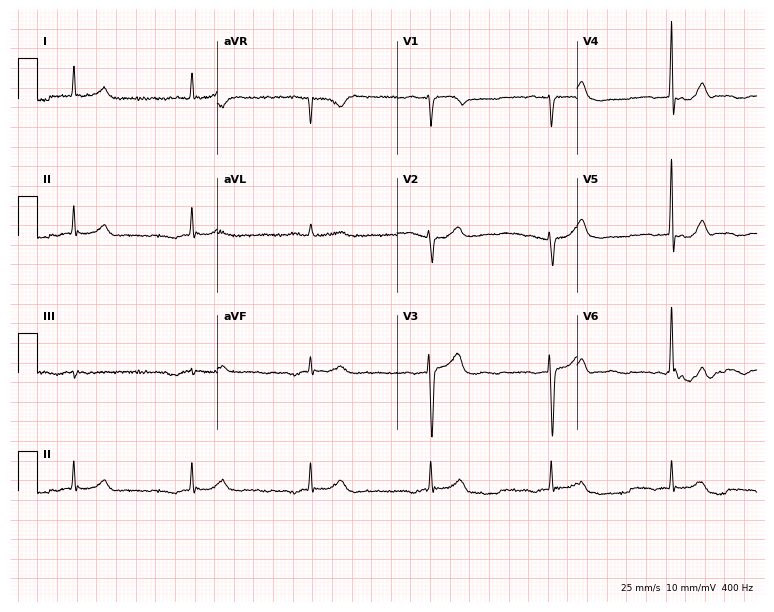
12-lead ECG (7.3-second recording at 400 Hz) from an 82-year-old male. Screened for six findings — first-degree AV block, right bundle branch block, left bundle branch block, sinus bradycardia, atrial fibrillation, sinus tachycardia — none is recorded. Only these six findings were labelled.